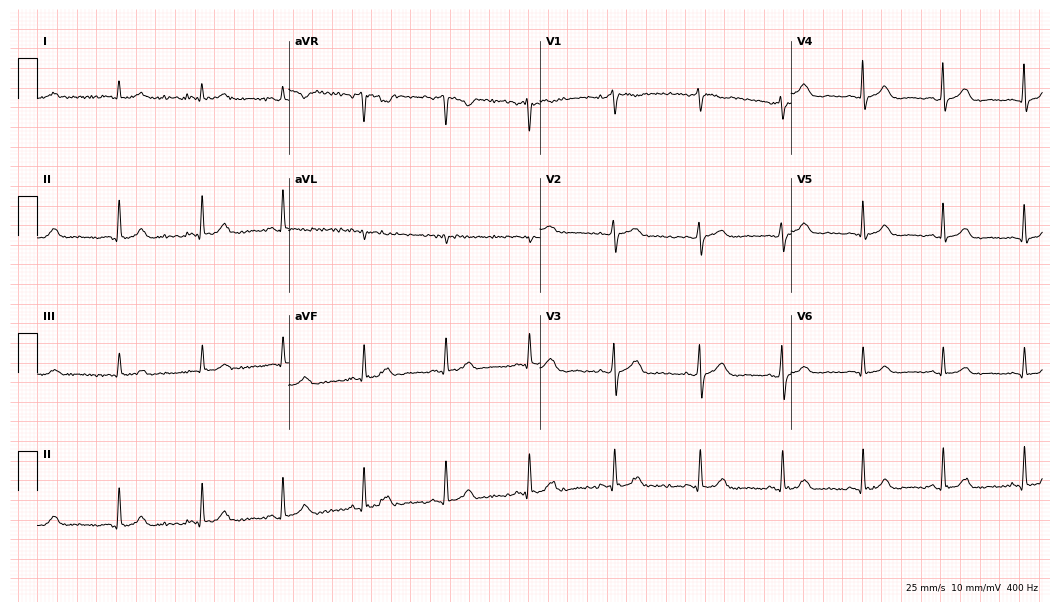
12-lead ECG from a female, 42 years old. Recorded interpretation: within normal limits.